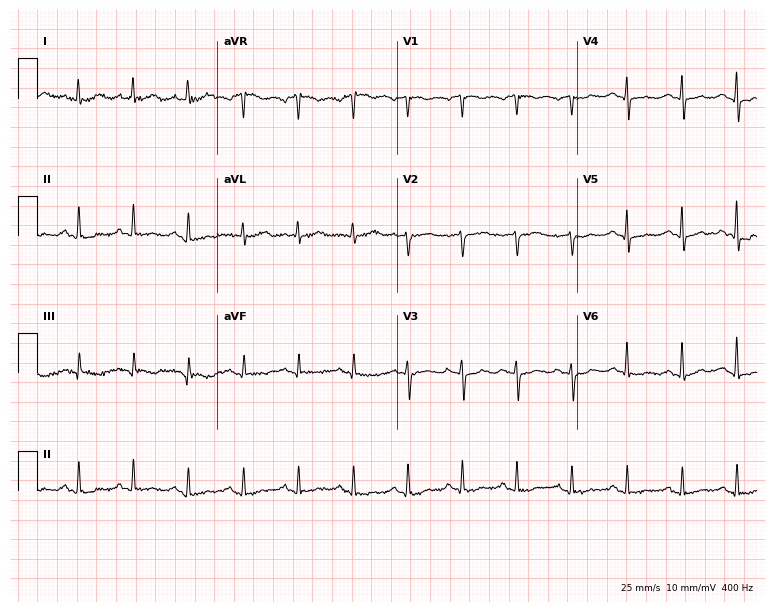
12-lead ECG from a woman, 69 years old (7.3-second recording at 400 Hz). Shows sinus tachycardia (a sinus rate of 100 beats per minute or more).